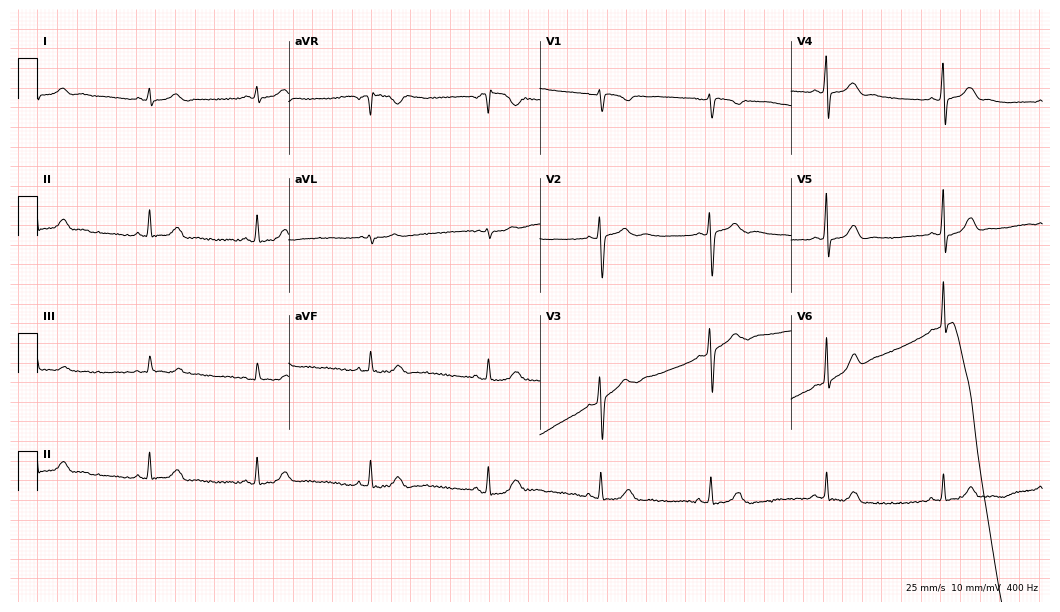
Electrocardiogram (10.2-second recording at 400 Hz), a female, 20 years old. Overall reading on record: normal ECG.